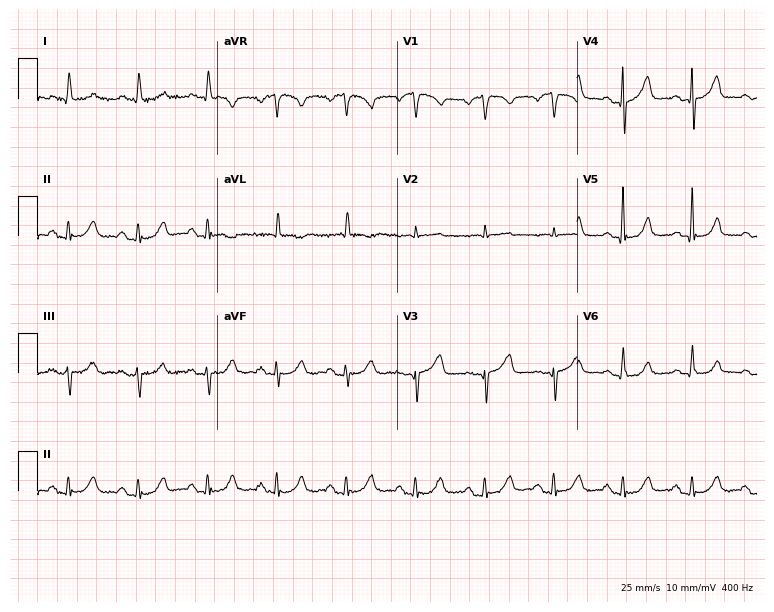
Electrocardiogram, a woman, 76 years old. Of the six screened findings (first-degree AV block, right bundle branch block (RBBB), left bundle branch block (LBBB), sinus bradycardia, atrial fibrillation (AF), sinus tachycardia), none is recorded. Other findings, if any, are not listed.